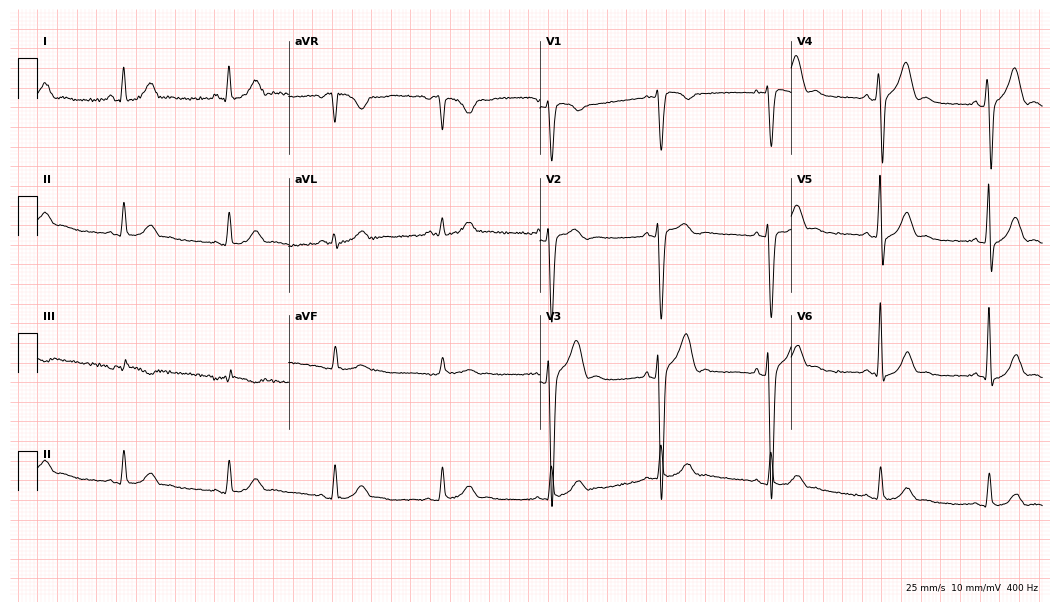
12-lead ECG (10.2-second recording at 400 Hz) from a 38-year-old man. Screened for six findings — first-degree AV block, right bundle branch block, left bundle branch block, sinus bradycardia, atrial fibrillation, sinus tachycardia — none is recorded. Other findings, if any, are not listed.